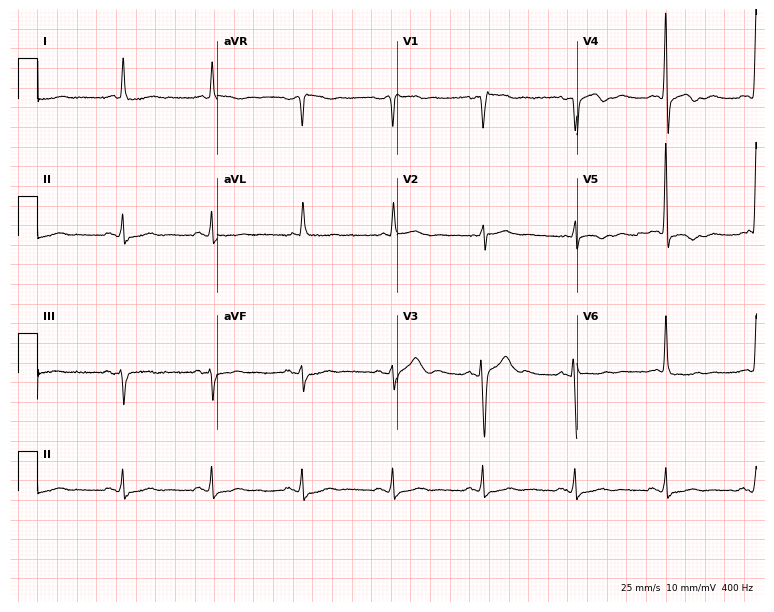
Standard 12-lead ECG recorded from an 86-year-old male patient. None of these six findings is recorded: first-degree AV block, right bundle branch block, left bundle branch block, sinus bradycardia, atrial fibrillation, sinus tachycardia. Only these six findings were labelled.